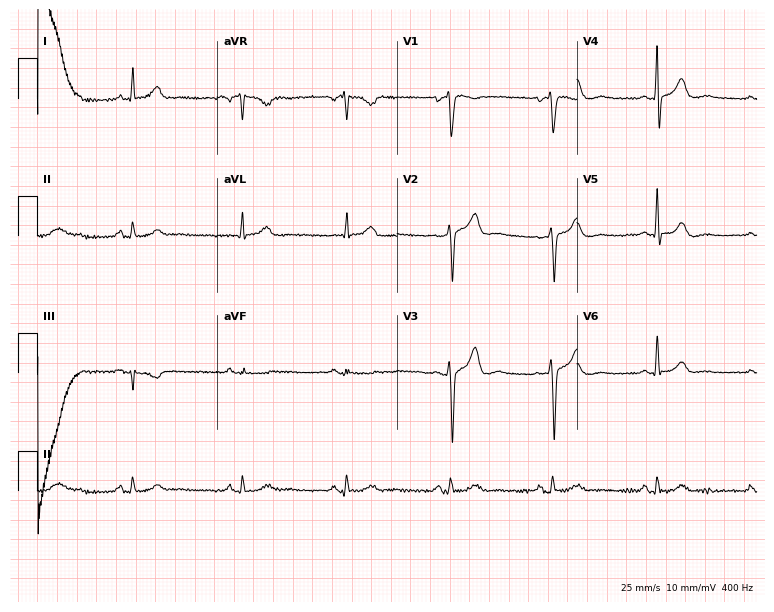
Standard 12-lead ECG recorded from a 62-year-old male. Read as a normal ECG.